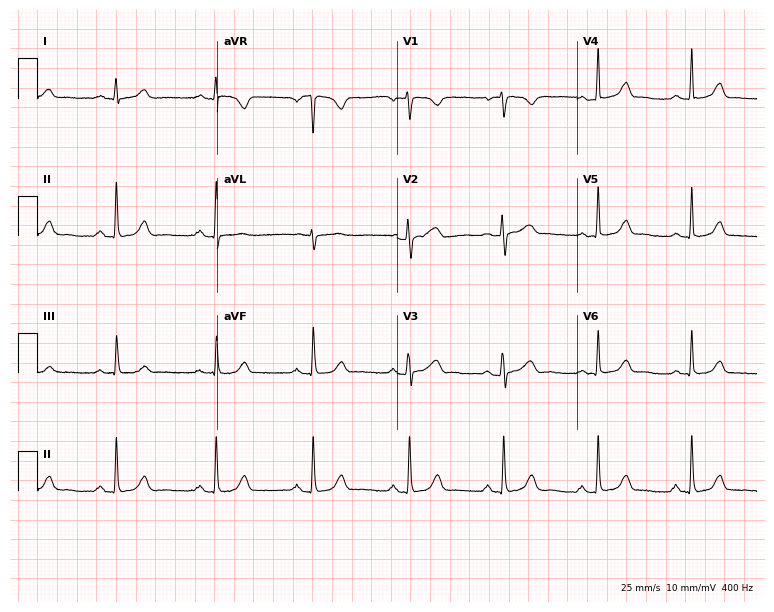
12-lead ECG from a female, 27 years old. Labelled as a normal ECG.